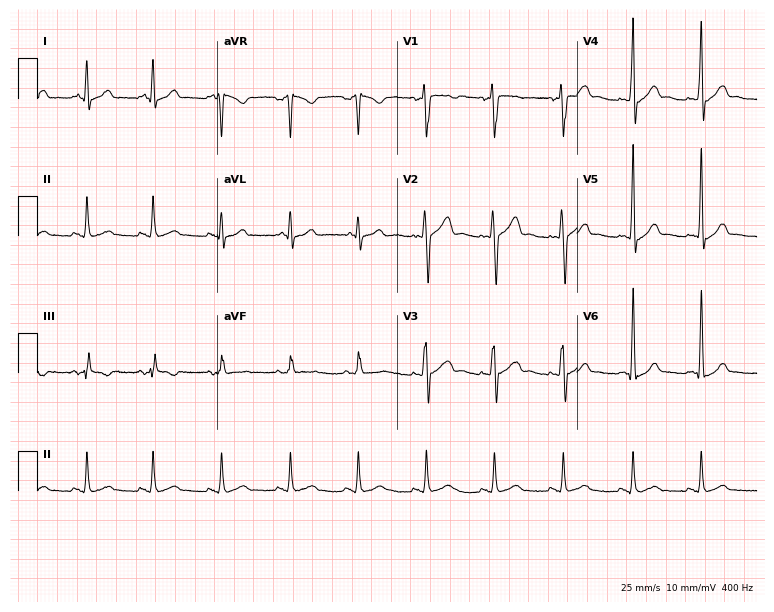
12-lead ECG from a man, 25 years old. Recorded interpretation: within normal limits.